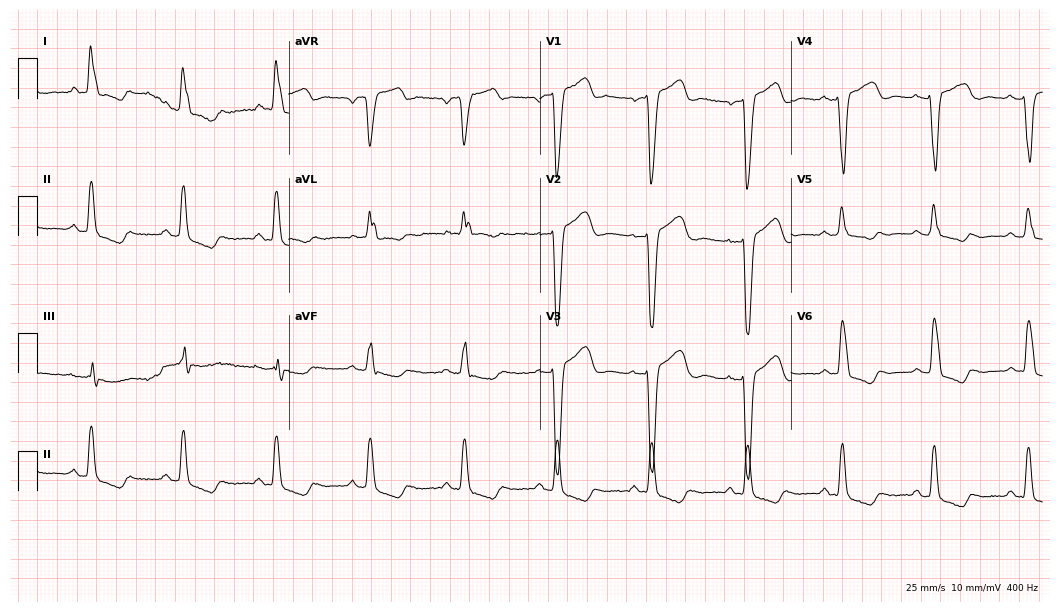
ECG (10.2-second recording at 400 Hz) — a female, 65 years old. Findings include left bundle branch block.